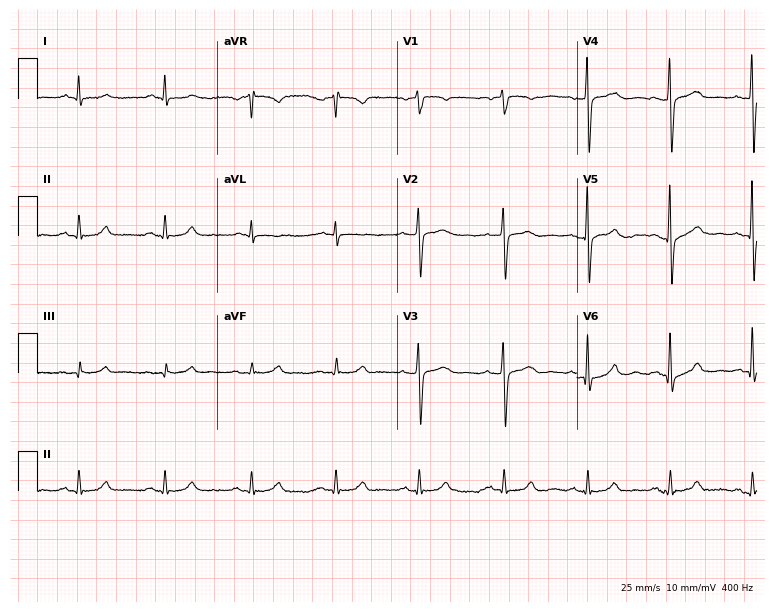
Standard 12-lead ECG recorded from a 54-year-old male patient (7.3-second recording at 400 Hz). None of these six findings is recorded: first-degree AV block, right bundle branch block (RBBB), left bundle branch block (LBBB), sinus bradycardia, atrial fibrillation (AF), sinus tachycardia. Only these six findings were labelled.